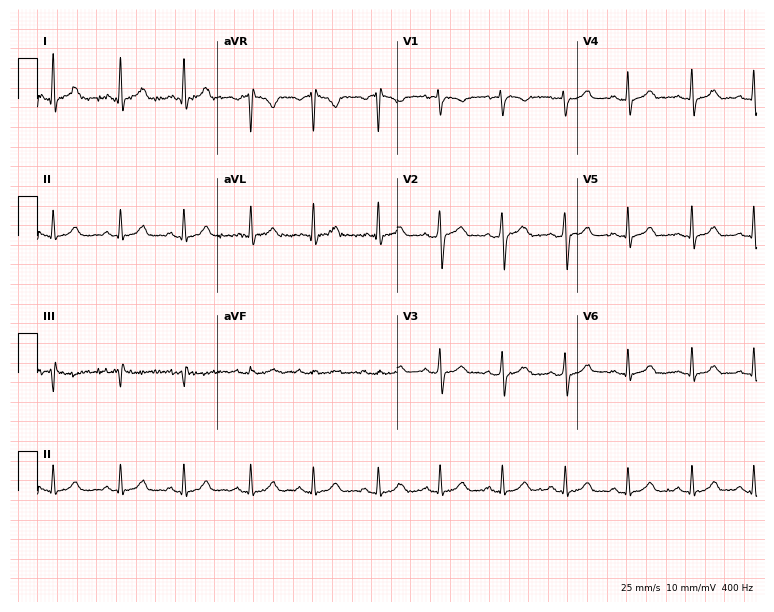
12-lead ECG from a female, 28 years old (7.3-second recording at 400 Hz). No first-degree AV block, right bundle branch block, left bundle branch block, sinus bradycardia, atrial fibrillation or sinus tachycardia recorded for this tracing.